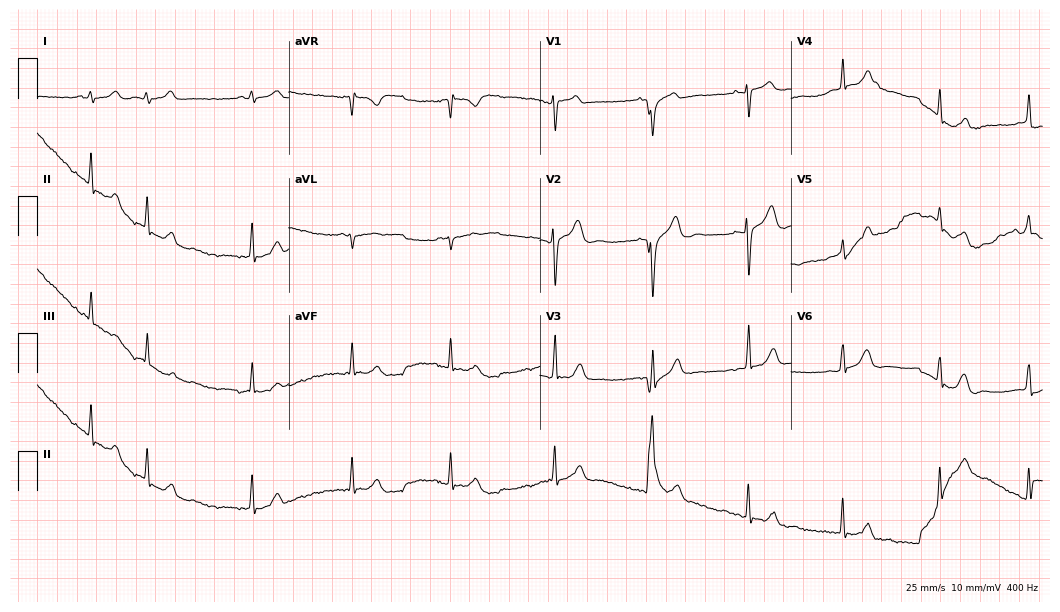
Resting 12-lead electrocardiogram. Patient: a 22-year-old female. None of these six findings is recorded: first-degree AV block, right bundle branch block (RBBB), left bundle branch block (LBBB), sinus bradycardia, atrial fibrillation (AF), sinus tachycardia.